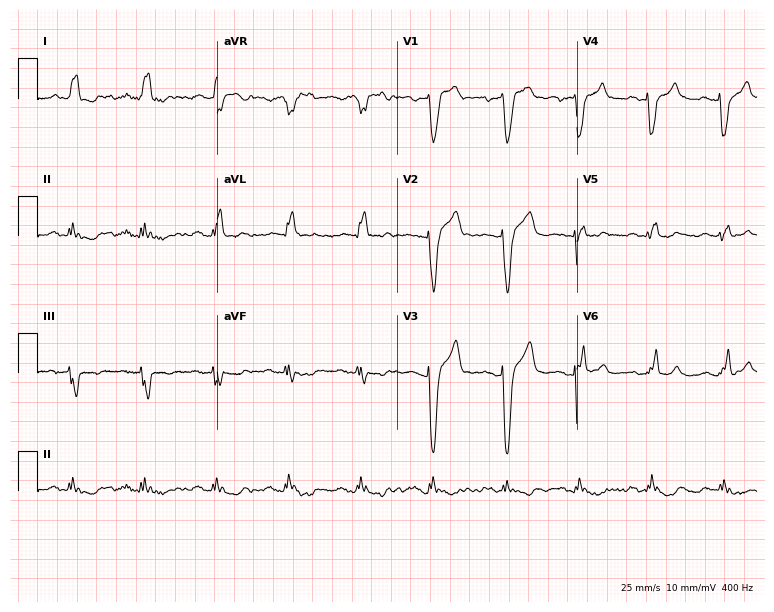
Standard 12-lead ECG recorded from a male patient, 78 years old (7.3-second recording at 400 Hz). None of these six findings is recorded: first-degree AV block, right bundle branch block, left bundle branch block, sinus bradycardia, atrial fibrillation, sinus tachycardia.